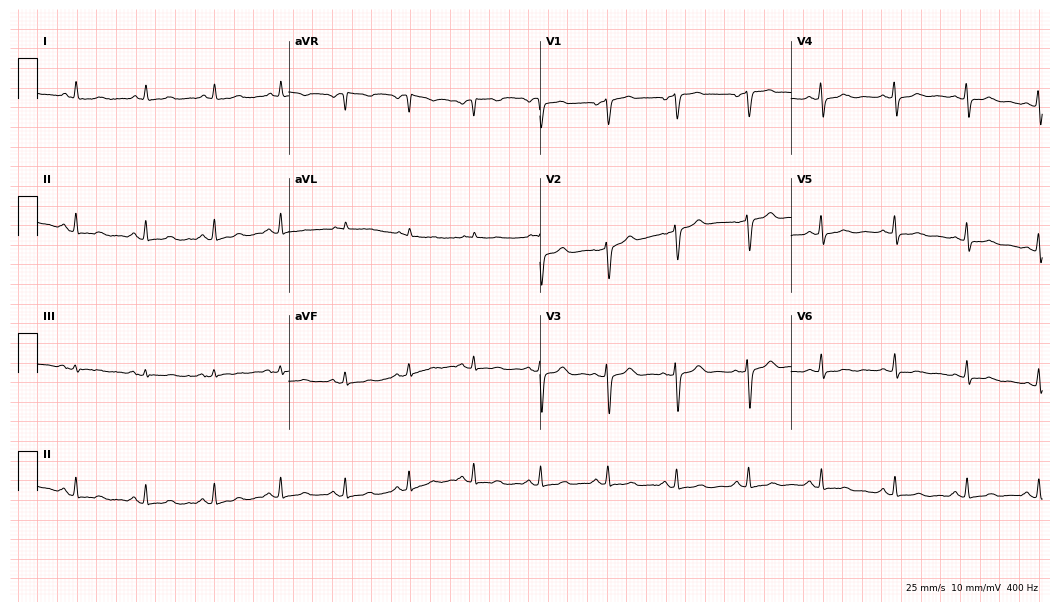
Resting 12-lead electrocardiogram. Patient: a female, 52 years old. None of these six findings is recorded: first-degree AV block, right bundle branch block (RBBB), left bundle branch block (LBBB), sinus bradycardia, atrial fibrillation (AF), sinus tachycardia.